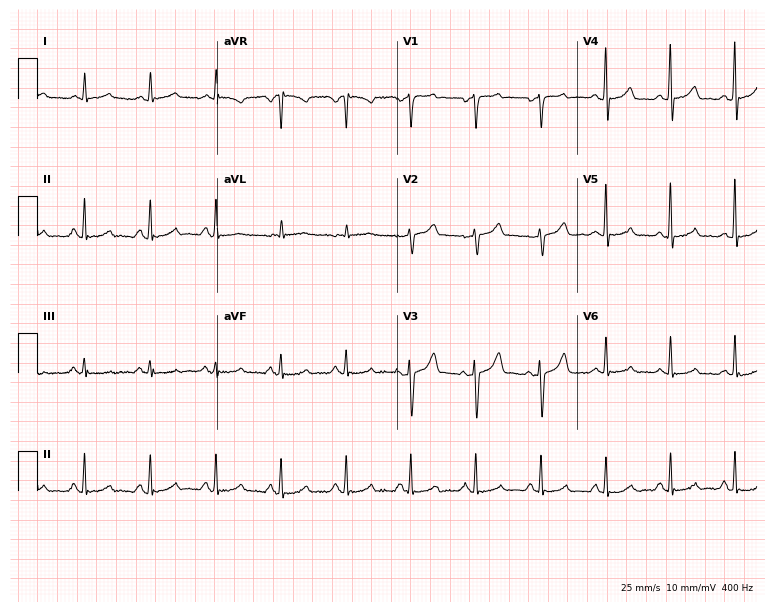
Standard 12-lead ECG recorded from a male patient, 64 years old. Read as a normal ECG.